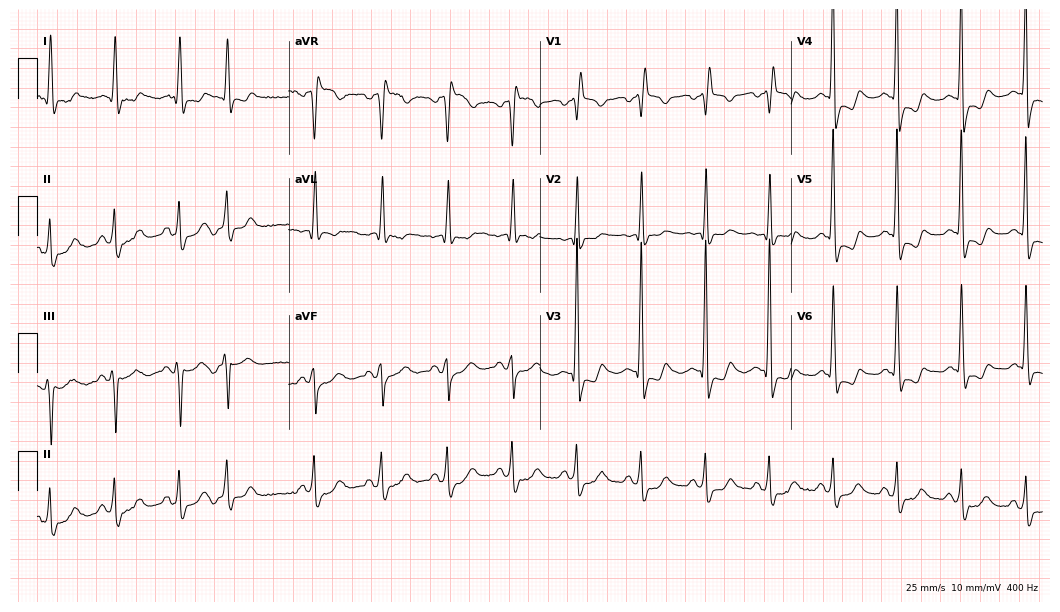
Standard 12-lead ECG recorded from a female, 81 years old. The tracing shows right bundle branch block.